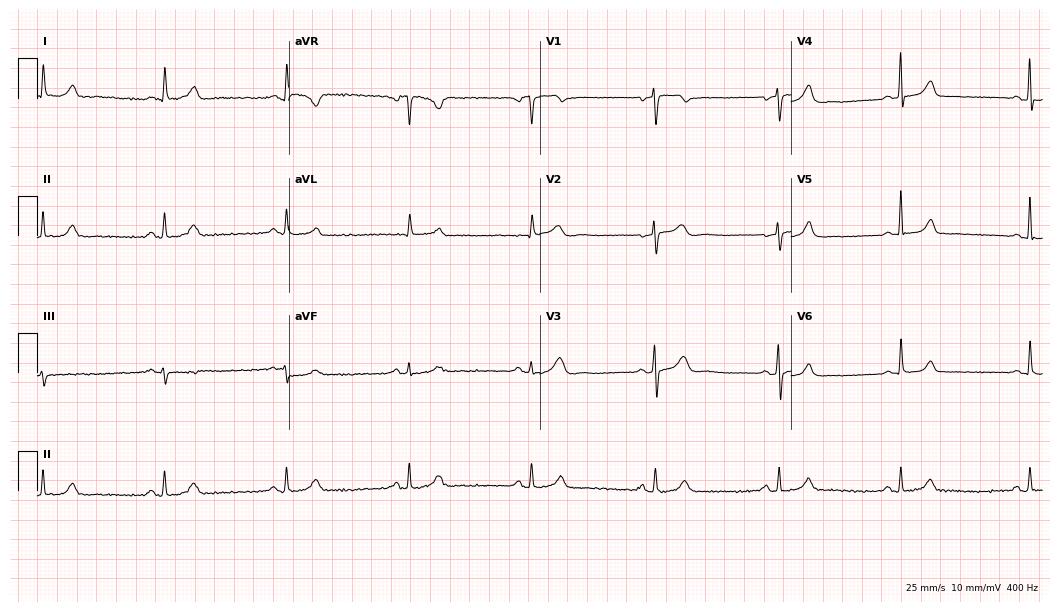
Electrocardiogram, a female patient, 53 years old. Of the six screened findings (first-degree AV block, right bundle branch block, left bundle branch block, sinus bradycardia, atrial fibrillation, sinus tachycardia), none is recorded.